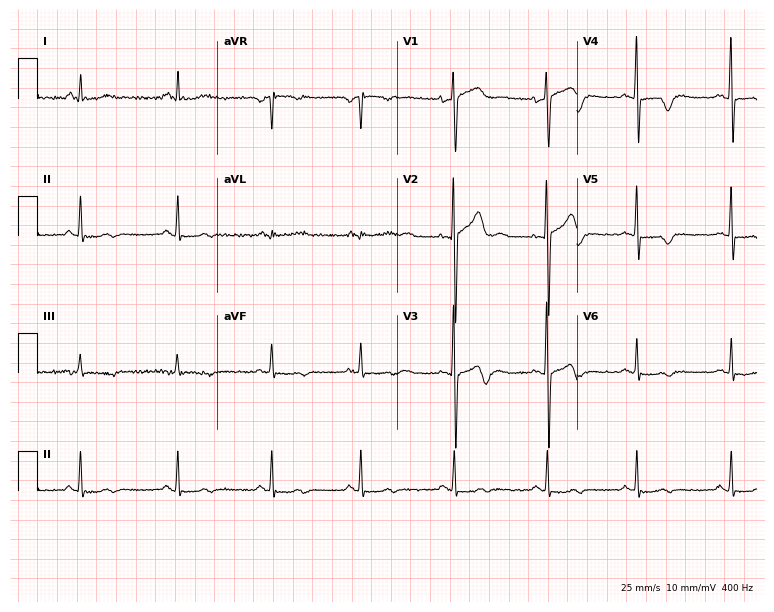
Resting 12-lead electrocardiogram. Patient: a male, 38 years old. None of these six findings is recorded: first-degree AV block, right bundle branch block, left bundle branch block, sinus bradycardia, atrial fibrillation, sinus tachycardia.